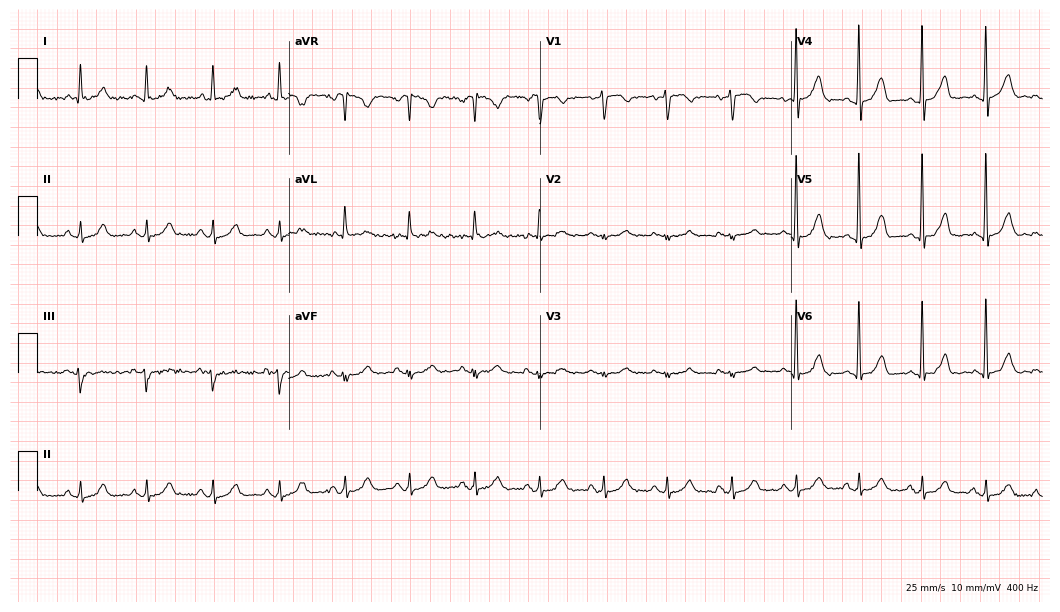
Electrocardiogram, a woman, 66 years old. Overall reading on record: normal ECG.